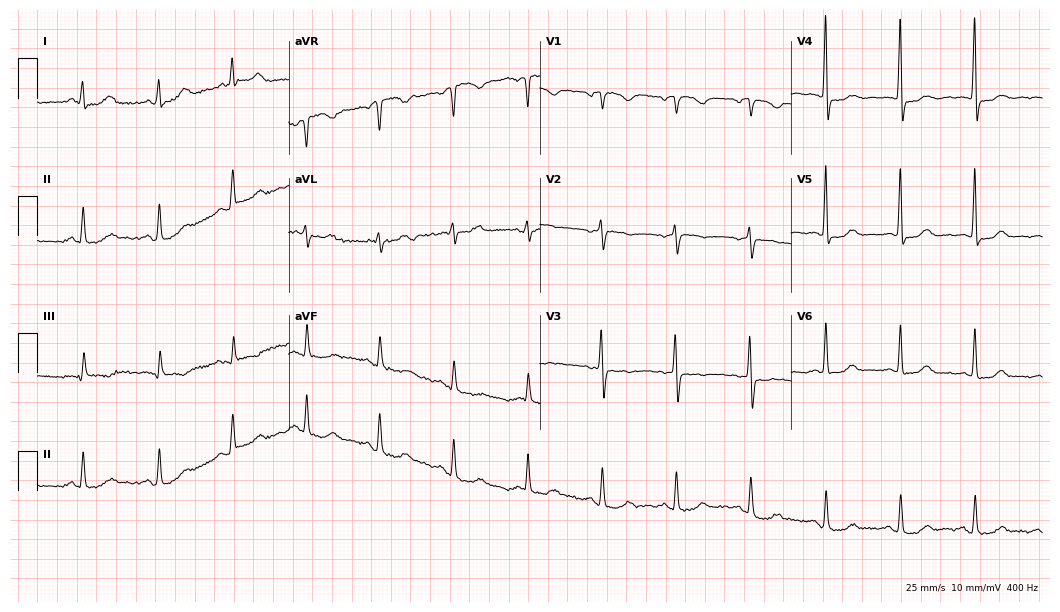
Standard 12-lead ECG recorded from a woman, 79 years old (10.2-second recording at 400 Hz). None of these six findings is recorded: first-degree AV block, right bundle branch block (RBBB), left bundle branch block (LBBB), sinus bradycardia, atrial fibrillation (AF), sinus tachycardia. Only these six findings were labelled.